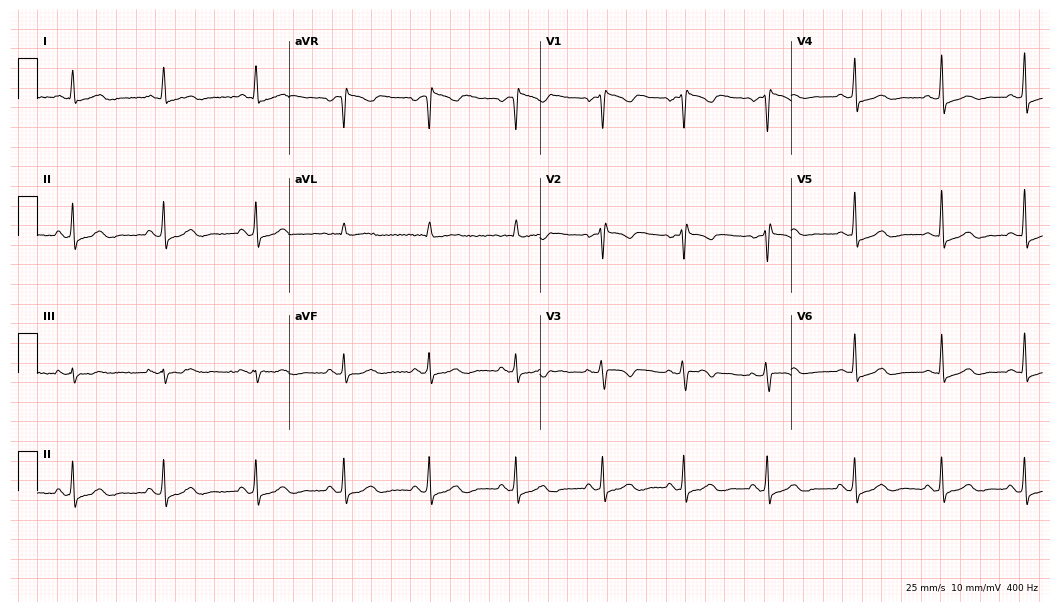
Standard 12-lead ECG recorded from a female patient, 35 years old (10.2-second recording at 400 Hz). Read as a normal ECG.